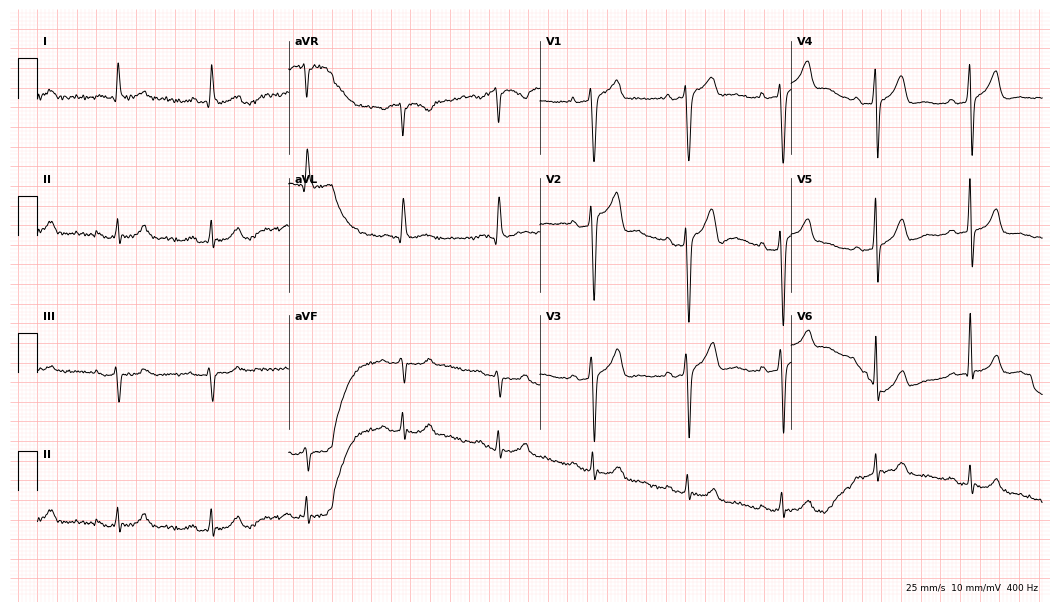
12-lead ECG from a 60-year-old man. Screened for six findings — first-degree AV block, right bundle branch block, left bundle branch block, sinus bradycardia, atrial fibrillation, sinus tachycardia — none is recorded. Findings outside these six are not listed.